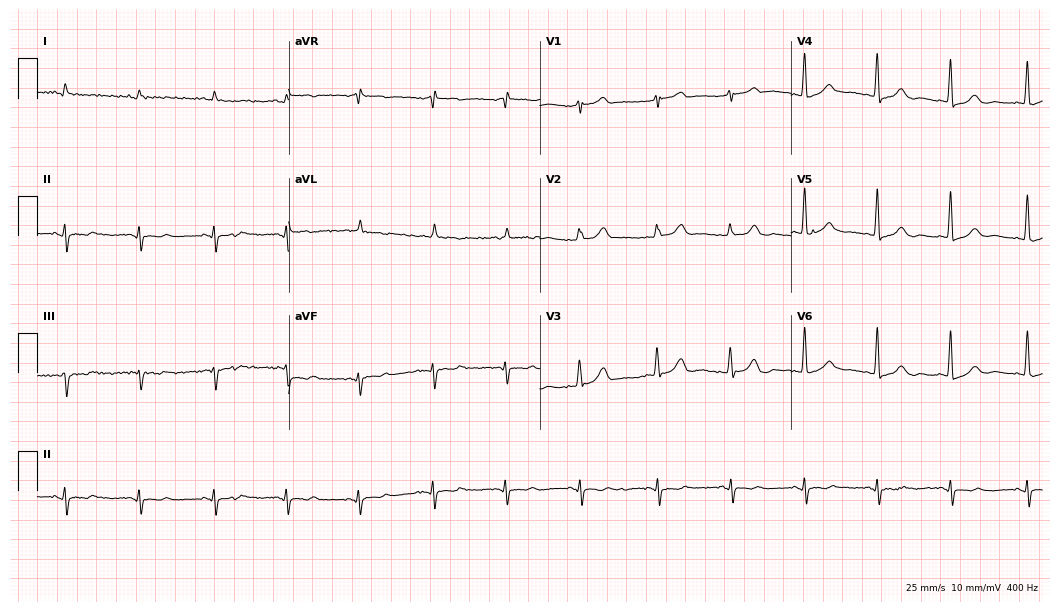
12-lead ECG from an 82-year-old male. No first-degree AV block, right bundle branch block (RBBB), left bundle branch block (LBBB), sinus bradycardia, atrial fibrillation (AF) or sinus tachycardia recorded for this tracing. Only these six findings were labelled.